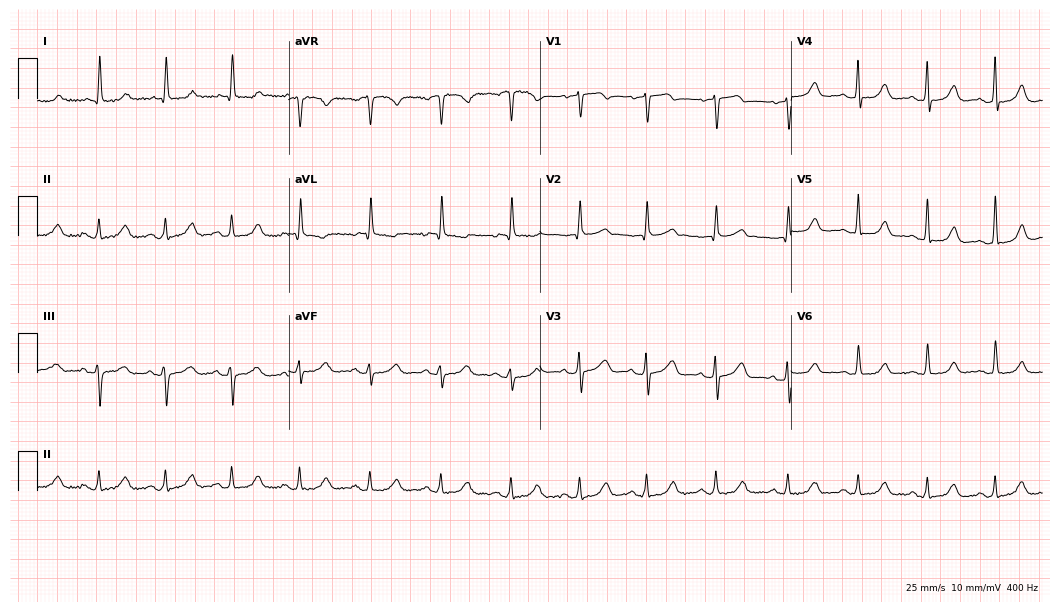
Resting 12-lead electrocardiogram. Patient: a female, 76 years old. Read as a normal ECG.